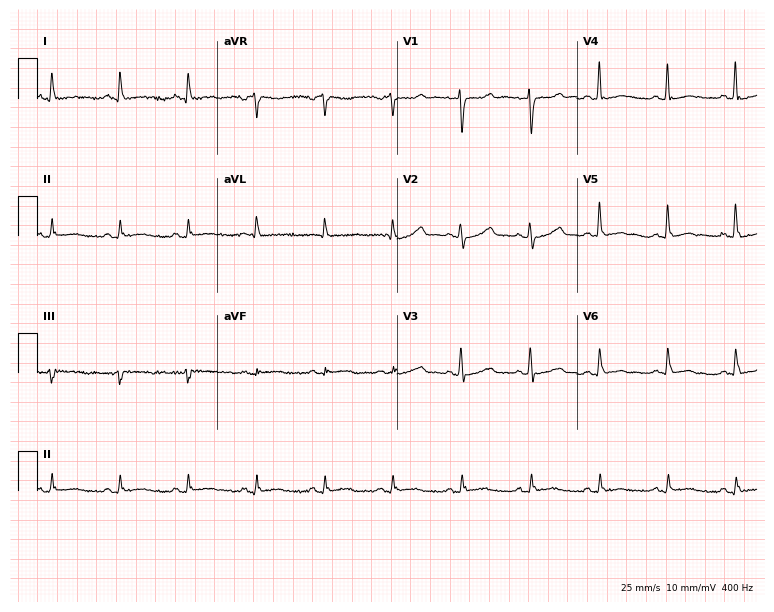
Resting 12-lead electrocardiogram (7.3-second recording at 400 Hz). Patient: a 62-year-old female. Read as a normal ECG.